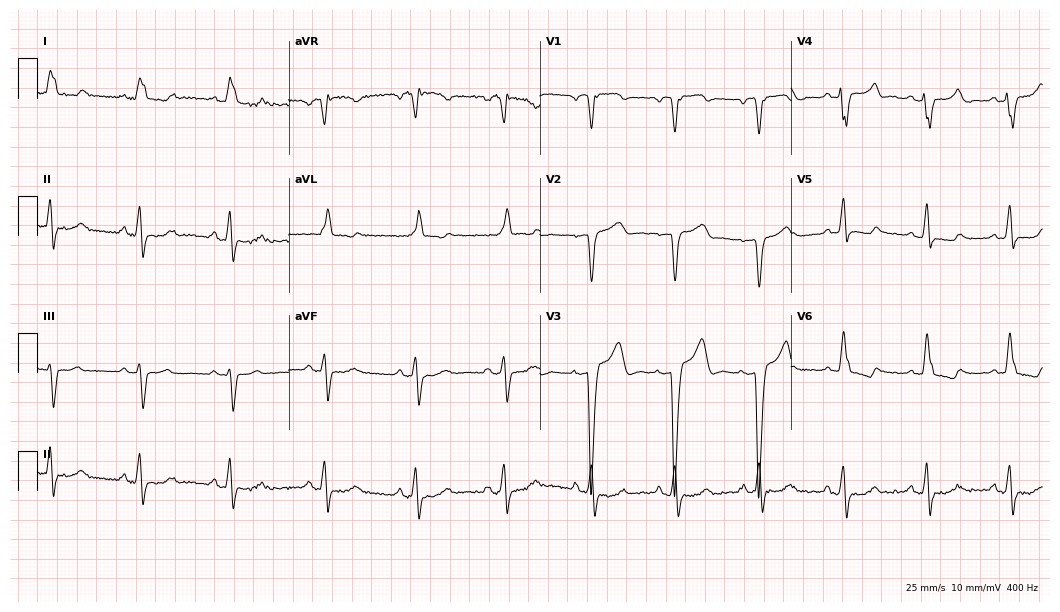
Resting 12-lead electrocardiogram. Patient: a female, 71 years old. The tracing shows left bundle branch block (LBBB).